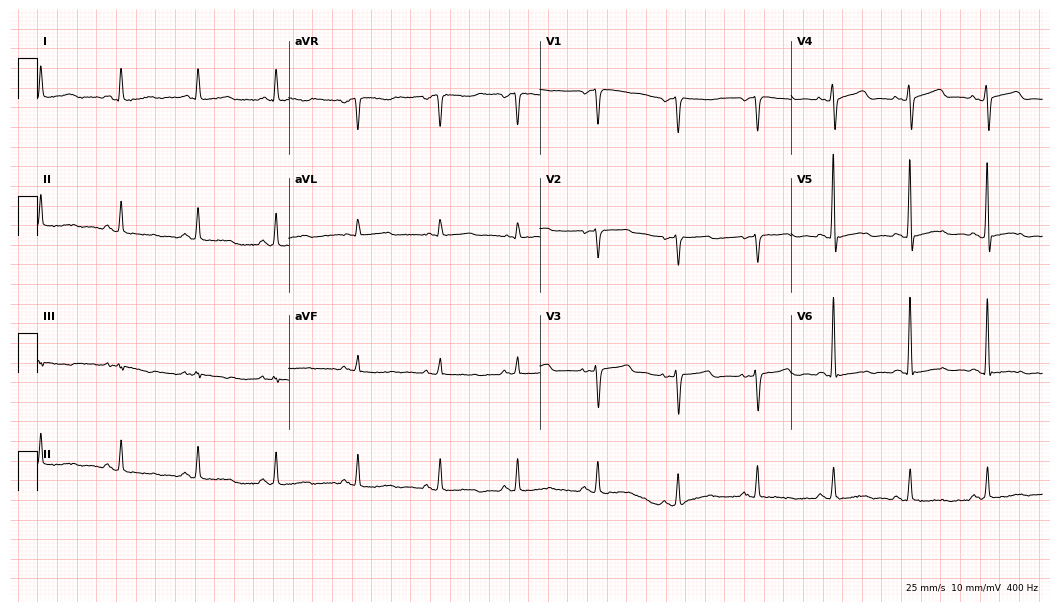
ECG (10.2-second recording at 400 Hz) — a female, 59 years old. Screened for six findings — first-degree AV block, right bundle branch block, left bundle branch block, sinus bradycardia, atrial fibrillation, sinus tachycardia — none is recorded. Findings outside these six are not listed.